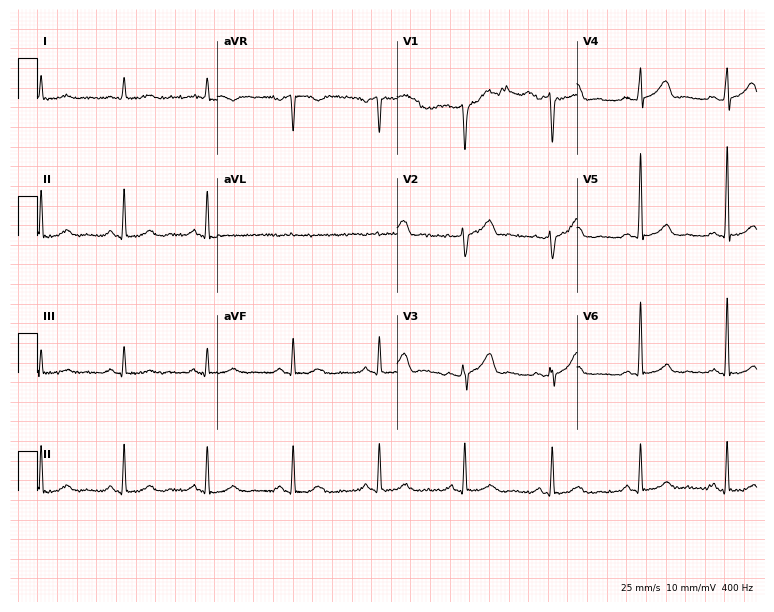
12-lead ECG from a 50-year-old man (7.3-second recording at 400 Hz). No first-degree AV block, right bundle branch block, left bundle branch block, sinus bradycardia, atrial fibrillation or sinus tachycardia recorded for this tracing. Only these six findings were labelled.